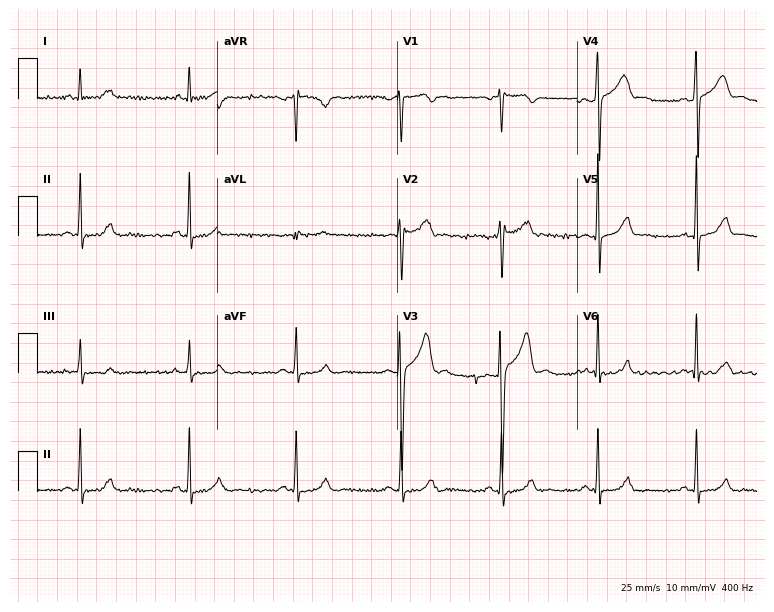
12-lead ECG from a man, 47 years old. Recorded interpretation: within normal limits.